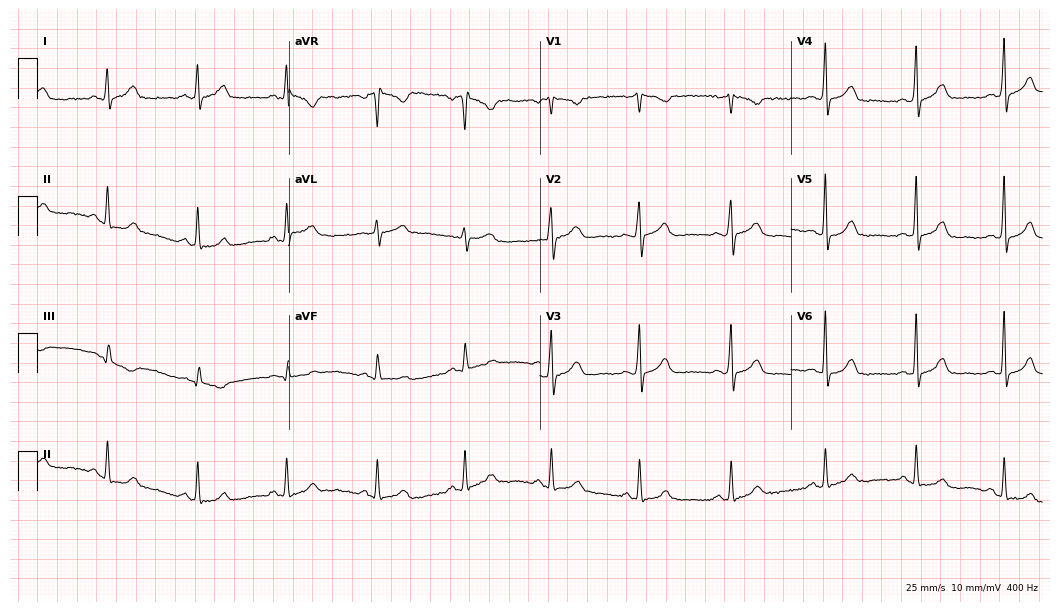
Electrocardiogram (10.2-second recording at 400 Hz), a female patient, 49 years old. Overall reading on record: normal ECG.